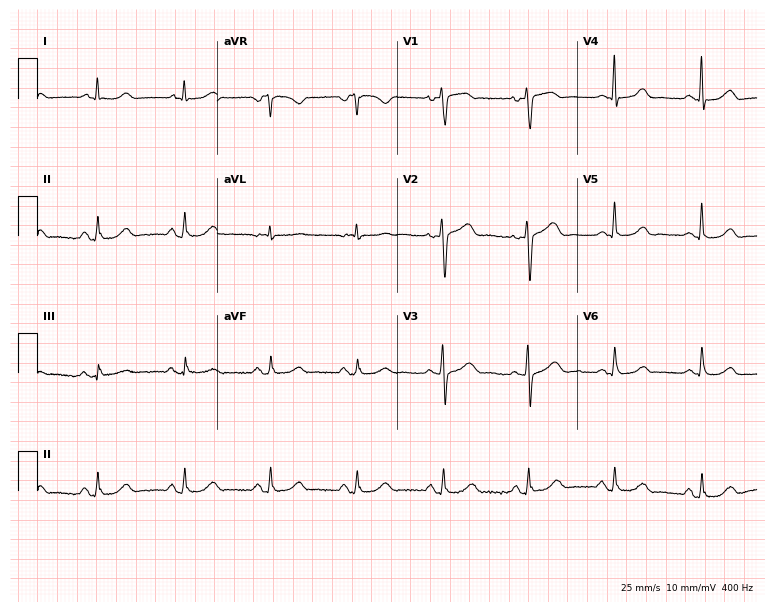
Resting 12-lead electrocardiogram (7.3-second recording at 400 Hz). Patient: a 67-year-old female. Read as a normal ECG.